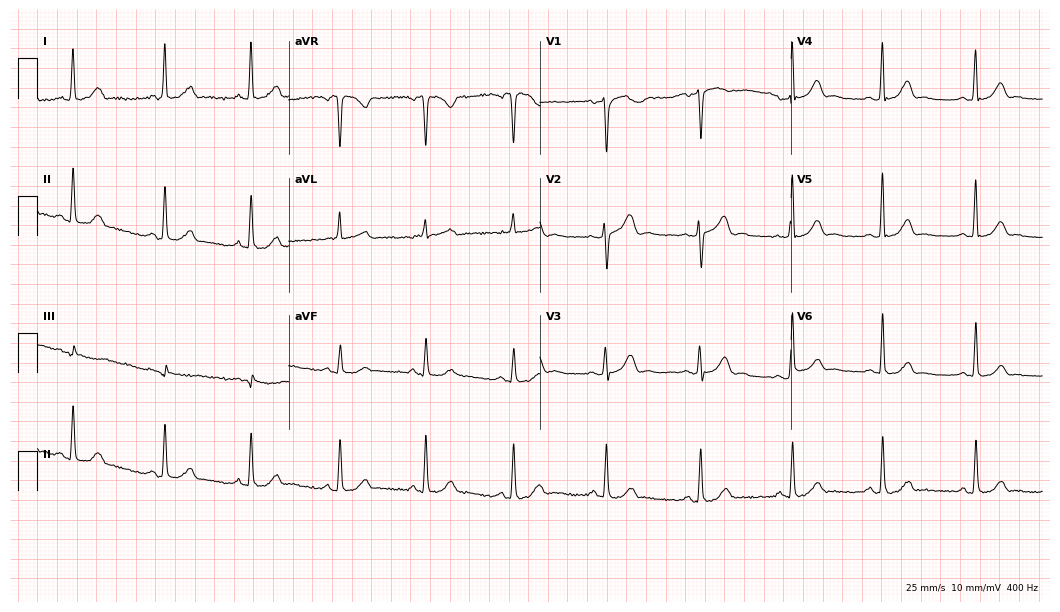
12-lead ECG from a 40-year-old woman (10.2-second recording at 400 Hz). Recorded interpretation: within normal limits.